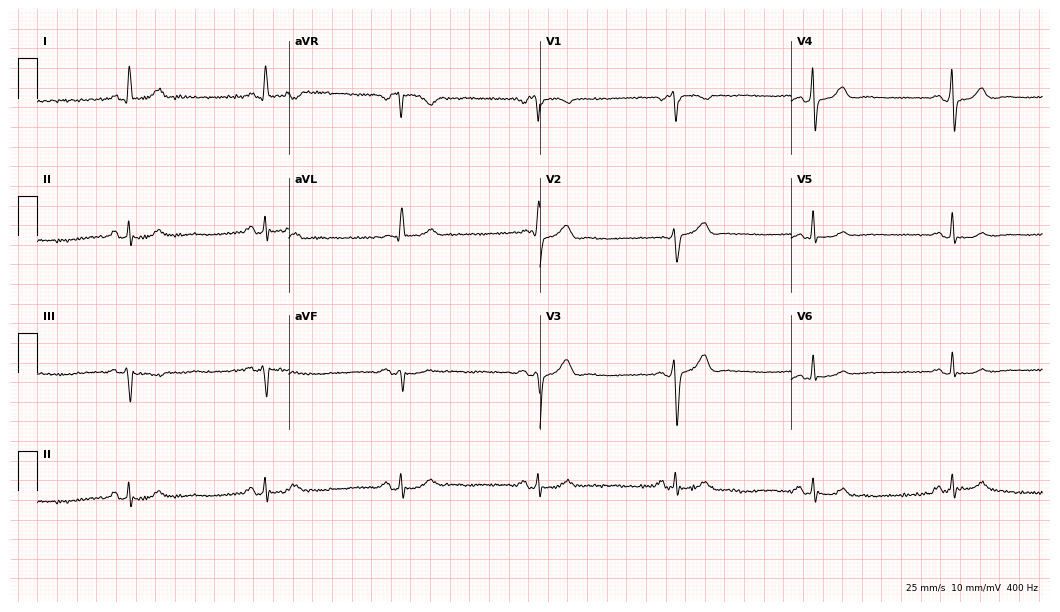
ECG (10.2-second recording at 400 Hz) — a female, 70 years old. Findings include sinus bradycardia (a sinus rate of 50 beats per minute or less).